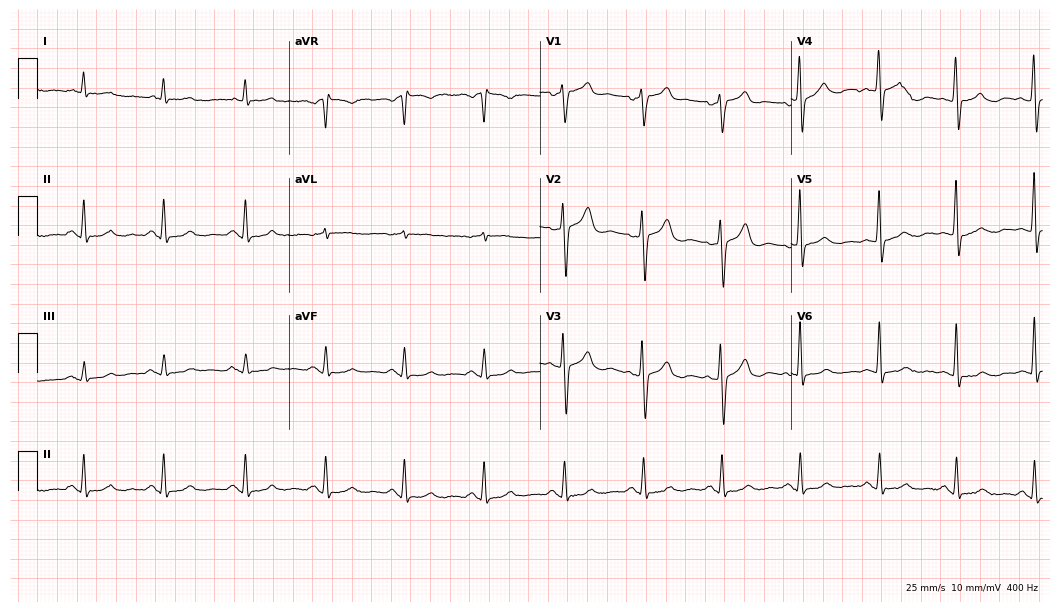
12-lead ECG from a male, 63 years old. Recorded interpretation: within normal limits.